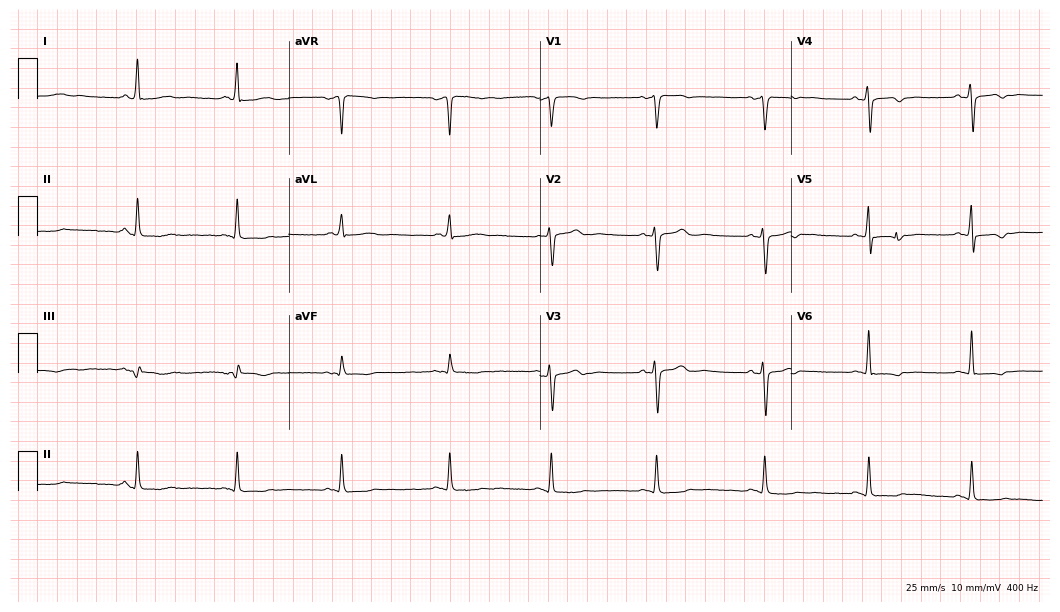
Resting 12-lead electrocardiogram. Patient: a female, 57 years old. None of these six findings is recorded: first-degree AV block, right bundle branch block, left bundle branch block, sinus bradycardia, atrial fibrillation, sinus tachycardia. Other findings, if any, are not listed.